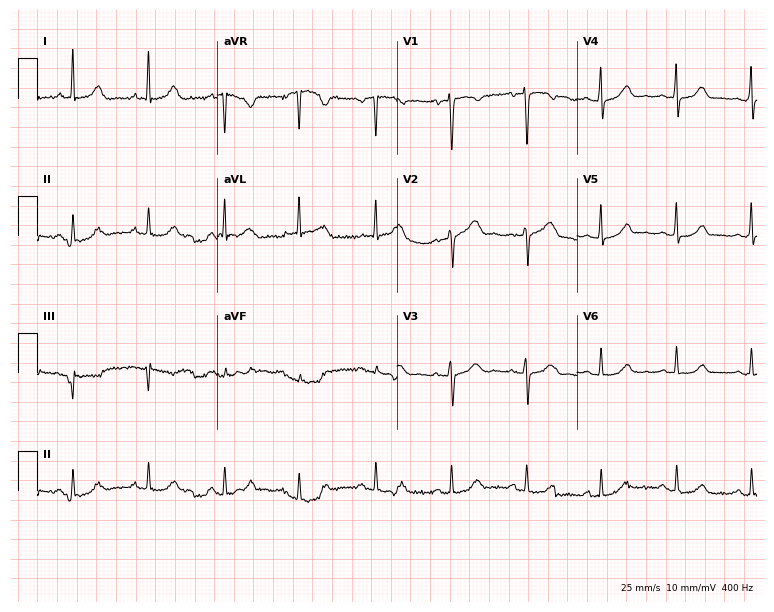
12-lead ECG from a woman, 50 years old (7.3-second recording at 400 Hz). Recorded interpretation: within normal limits.